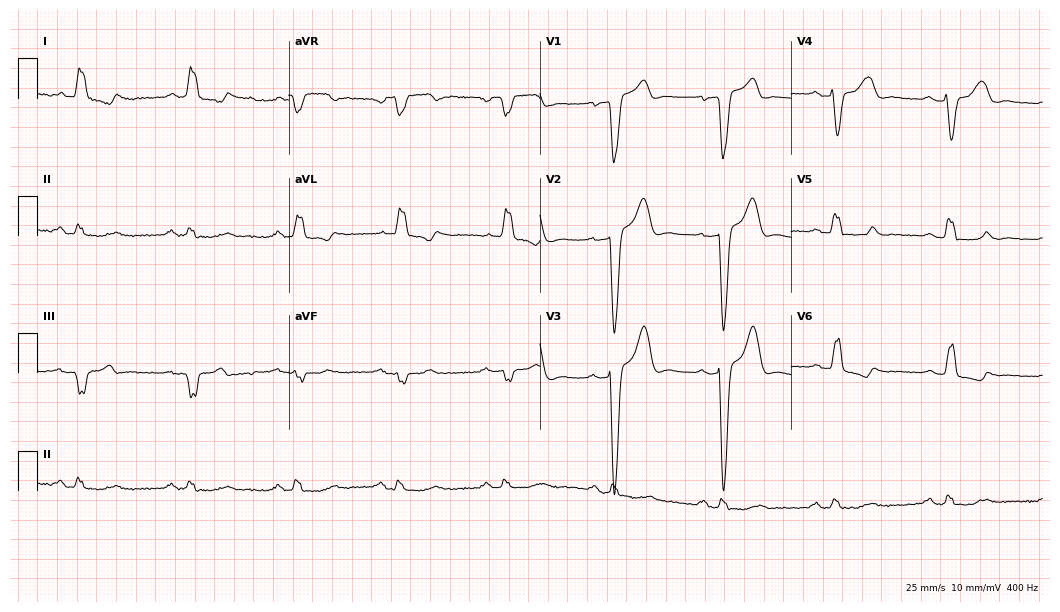
Electrocardiogram (10.2-second recording at 400 Hz), a male, 65 years old. Interpretation includes left bundle branch block (LBBB).